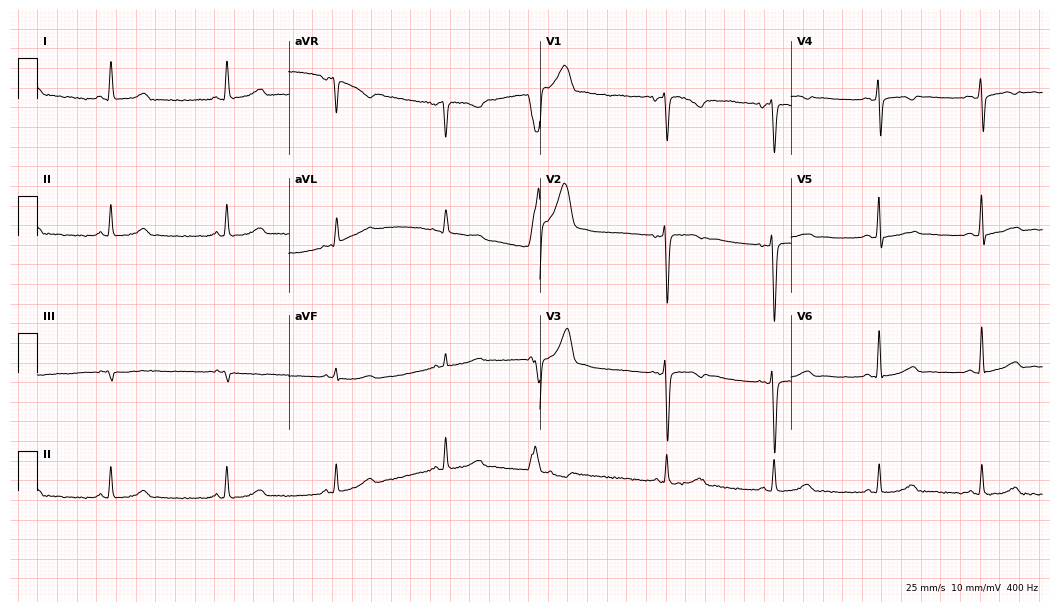
ECG (10.2-second recording at 400 Hz) — a 34-year-old woman. Screened for six findings — first-degree AV block, right bundle branch block (RBBB), left bundle branch block (LBBB), sinus bradycardia, atrial fibrillation (AF), sinus tachycardia — none is recorded.